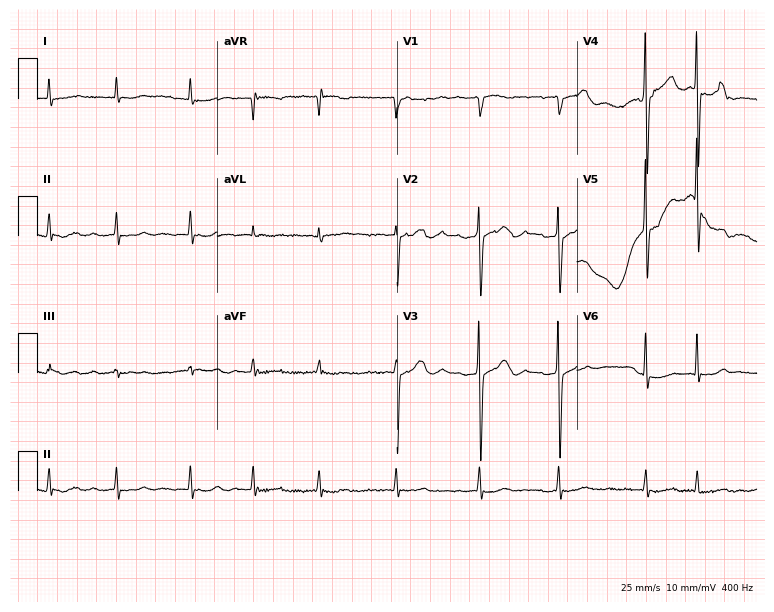
ECG (7.3-second recording at 400 Hz) — a female patient, 82 years old. Findings include atrial fibrillation.